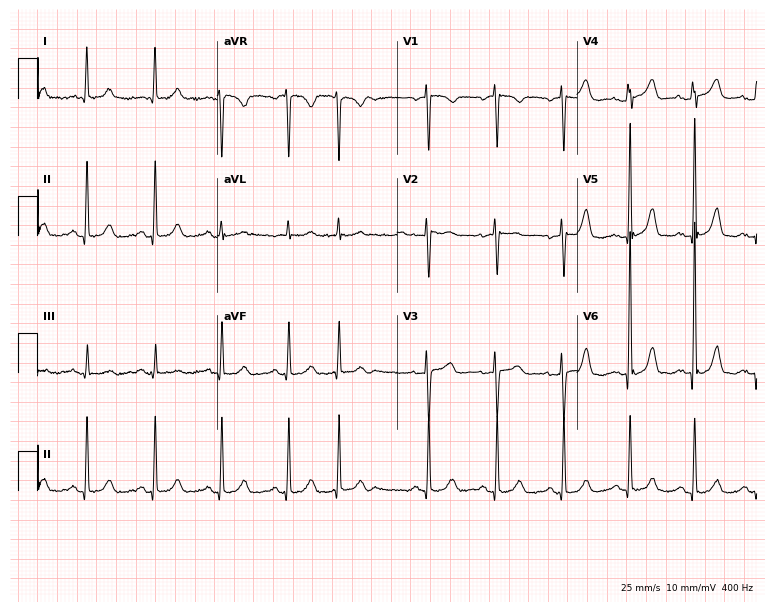
Electrocardiogram, a 58-year-old female. Of the six screened findings (first-degree AV block, right bundle branch block, left bundle branch block, sinus bradycardia, atrial fibrillation, sinus tachycardia), none is recorded.